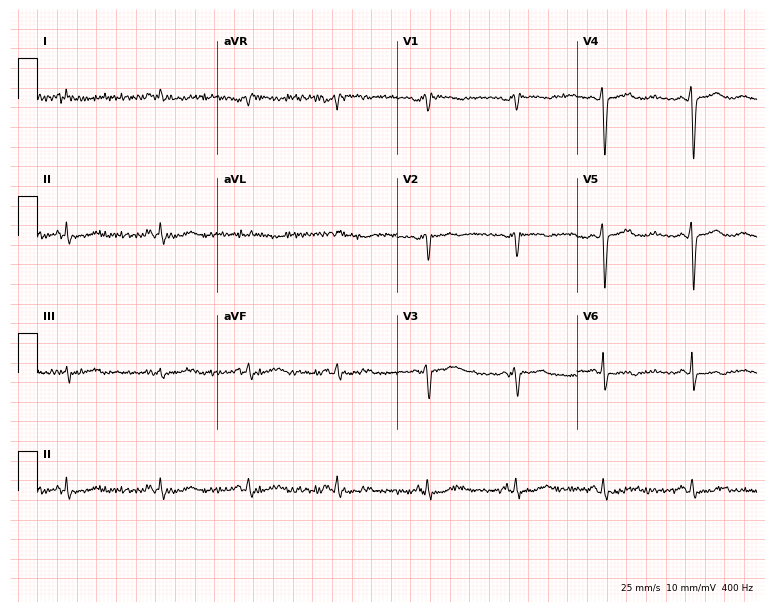
Electrocardiogram (7.3-second recording at 400 Hz), a 68-year-old female patient. Of the six screened findings (first-degree AV block, right bundle branch block, left bundle branch block, sinus bradycardia, atrial fibrillation, sinus tachycardia), none is recorded. Only these six findings were labelled.